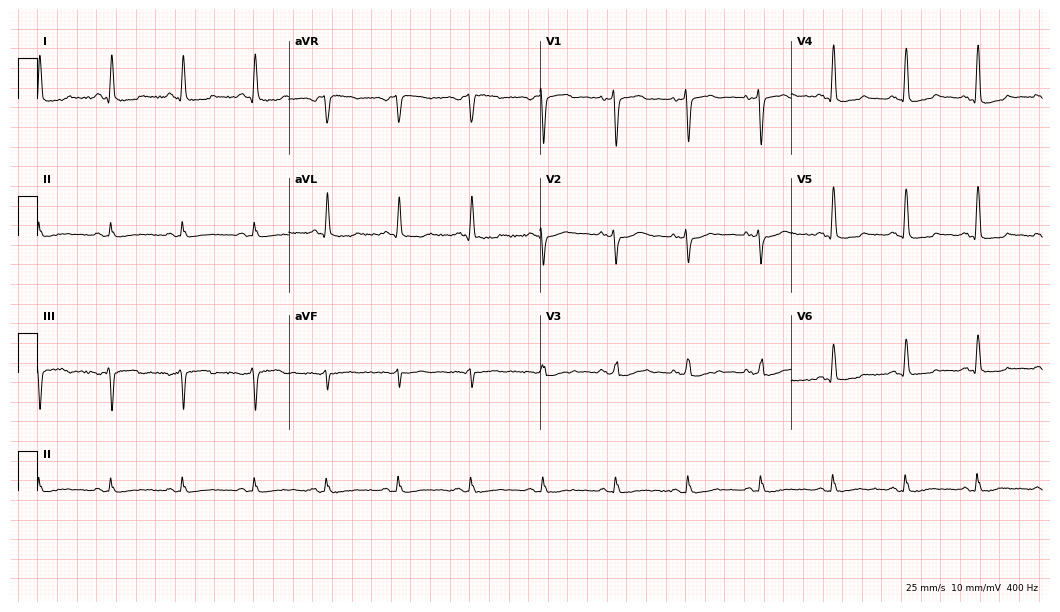
Resting 12-lead electrocardiogram. Patient: a 77-year-old woman. None of these six findings is recorded: first-degree AV block, right bundle branch block, left bundle branch block, sinus bradycardia, atrial fibrillation, sinus tachycardia. Findings outside these six are not listed.